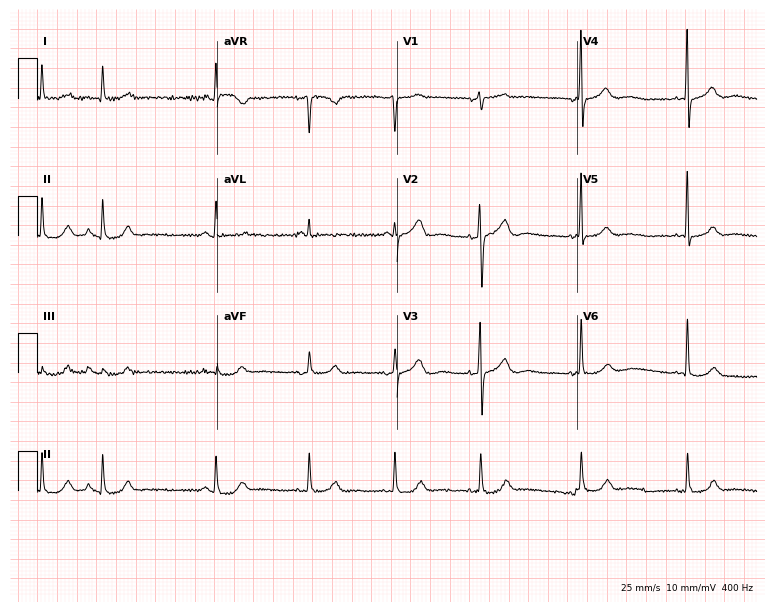
Standard 12-lead ECG recorded from a female, 68 years old. None of these six findings is recorded: first-degree AV block, right bundle branch block, left bundle branch block, sinus bradycardia, atrial fibrillation, sinus tachycardia. Findings outside these six are not listed.